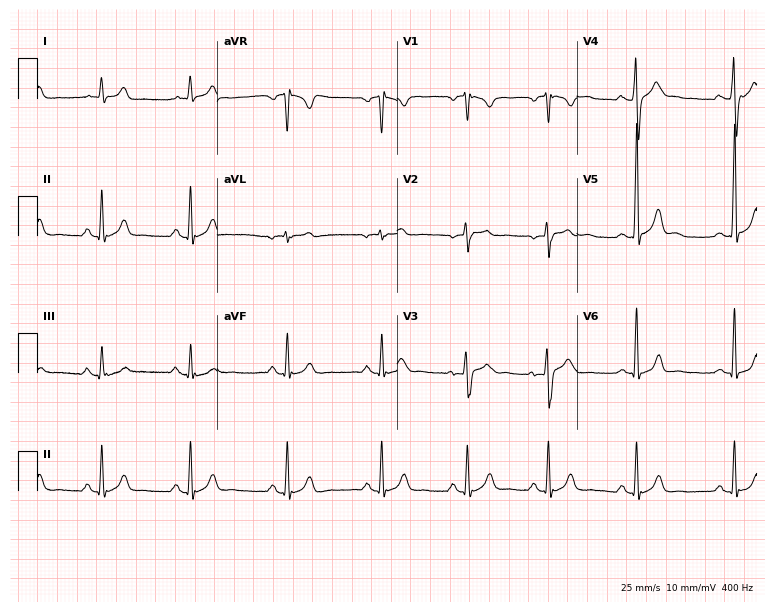
12-lead ECG from a man, 28 years old. Labelled as a normal ECG.